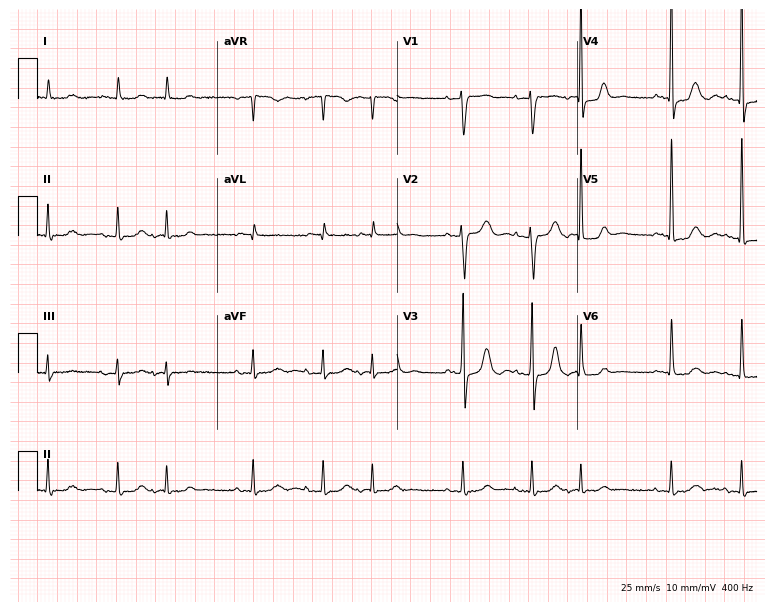
ECG — an 85-year-old female. Screened for six findings — first-degree AV block, right bundle branch block, left bundle branch block, sinus bradycardia, atrial fibrillation, sinus tachycardia — none is recorded. Other findings, if any, are not listed.